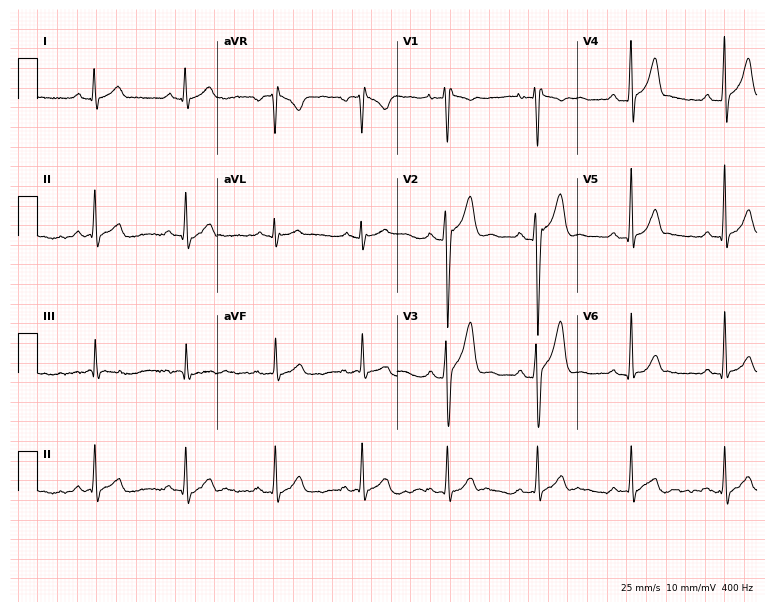
Electrocardiogram (7.3-second recording at 400 Hz), a 34-year-old male. Of the six screened findings (first-degree AV block, right bundle branch block (RBBB), left bundle branch block (LBBB), sinus bradycardia, atrial fibrillation (AF), sinus tachycardia), none is recorded.